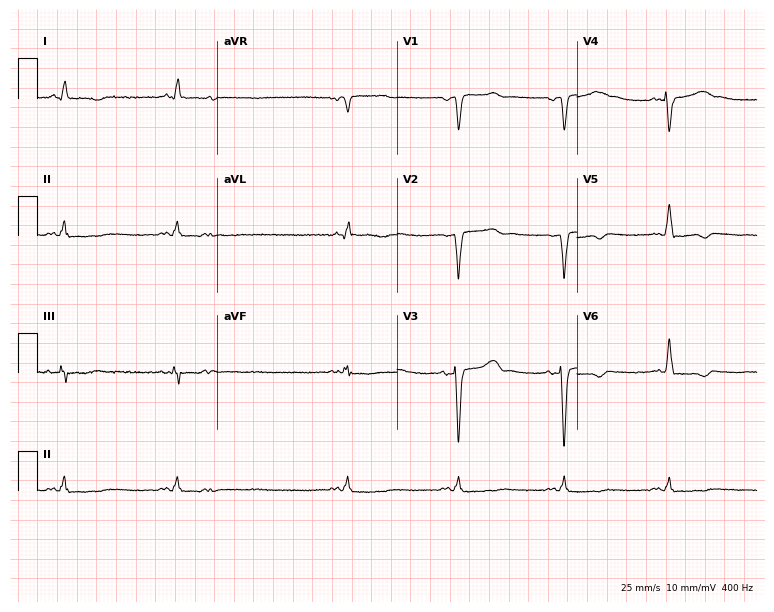
ECG — a 49-year-old male patient. Findings include sinus bradycardia (a sinus rate of 50 beats per minute or less).